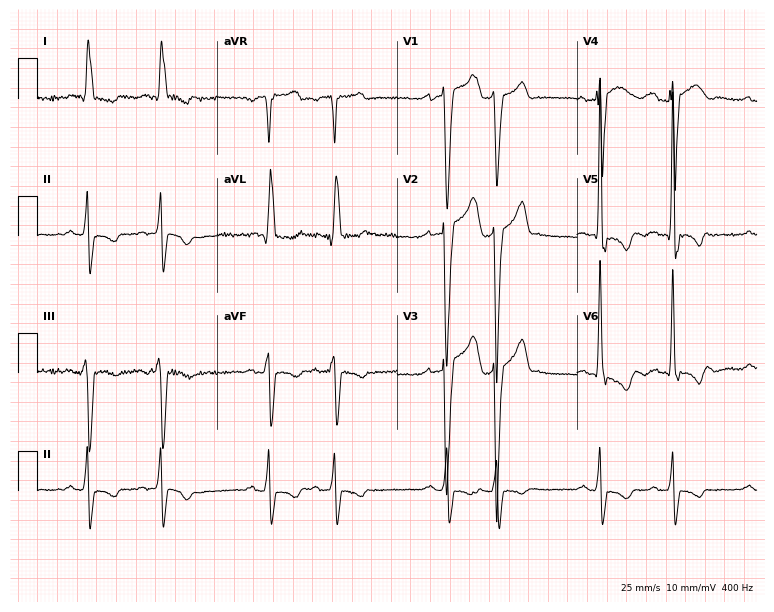
12-lead ECG (7.3-second recording at 400 Hz) from a 59-year-old man. Findings include left bundle branch block.